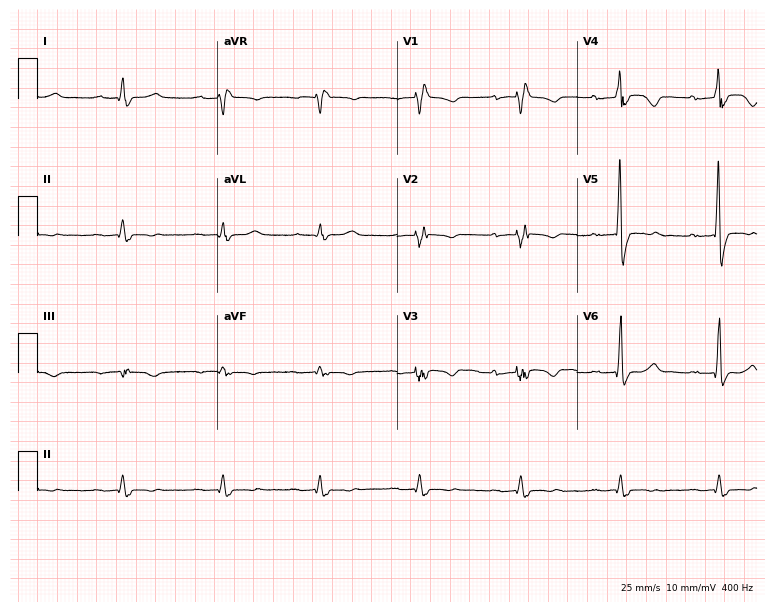
ECG (7.3-second recording at 400 Hz) — a man, 44 years old. Findings include first-degree AV block, right bundle branch block.